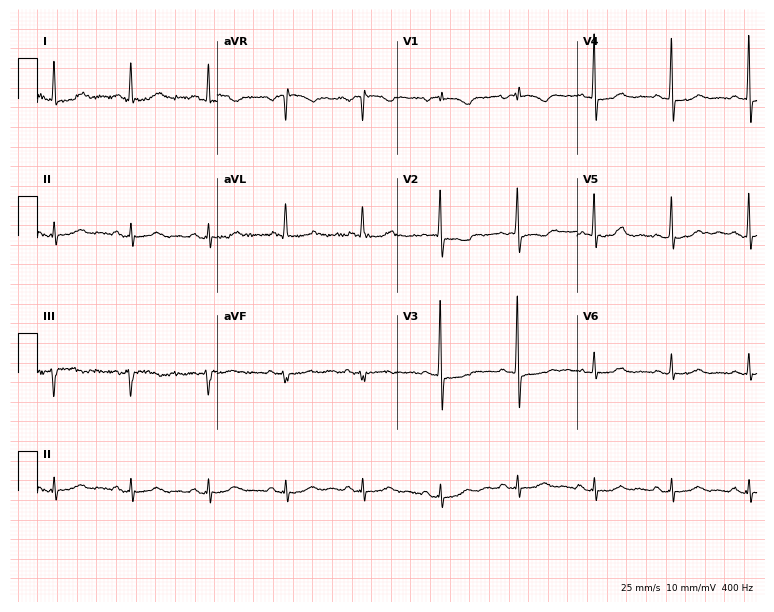
12-lead ECG from an 85-year-old female patient. No first-degree AV block, right bundle branch block (RBBB), left bundle branch block (LBBB), sinus bradycardia, atrial fibrillation (AF) or sinus tachycardia recorded for this tracing.